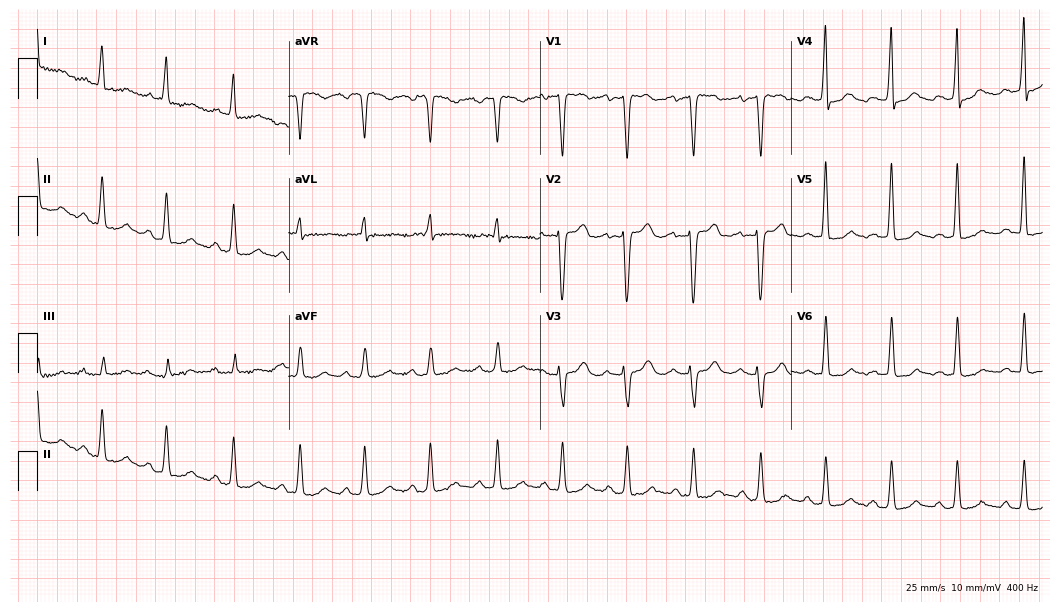
Standard 12-lead ECG recorded from an 82-year-old female patient (10.2-second recording at 400 Hz). None of these six findings is recorded: first-degree AV block, right bundle branch block (RBBB), left bundle branch block (LBBB), sinus bradycardia, atrial fibrillation (AF), sinus tachycardia. Only these six findings were labelled.